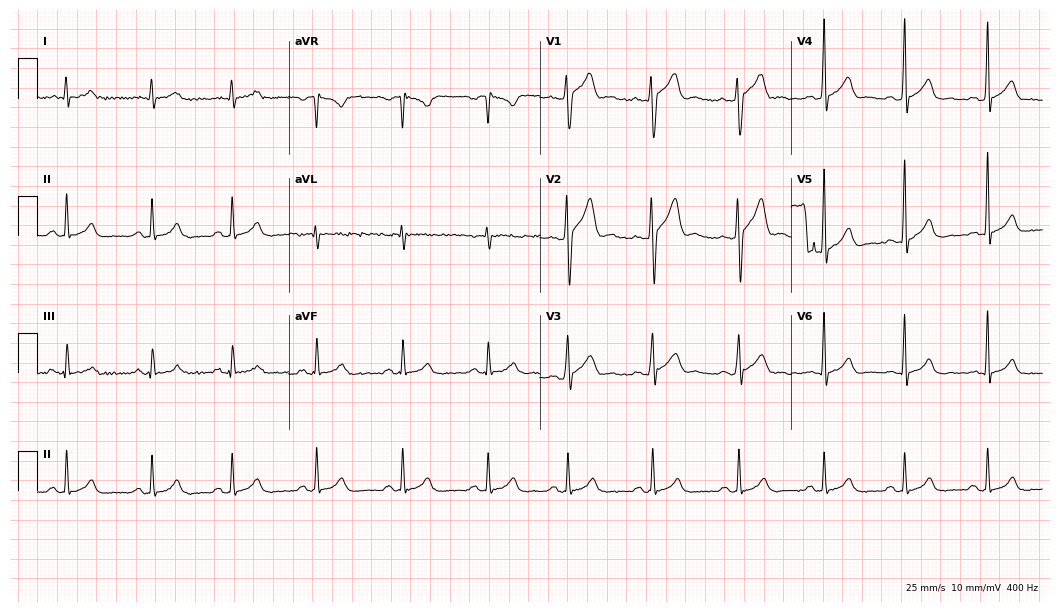
12-lead ECG from a male patient, 23 years old (10.2-second recording at 400 Hz). No first-degree AV block, right bundle branch block, left bundle branch block, sinus bradycardia, atrial fibrillation or sinus tachycardia recorded for this tracing. Findings outside these six are not listed.